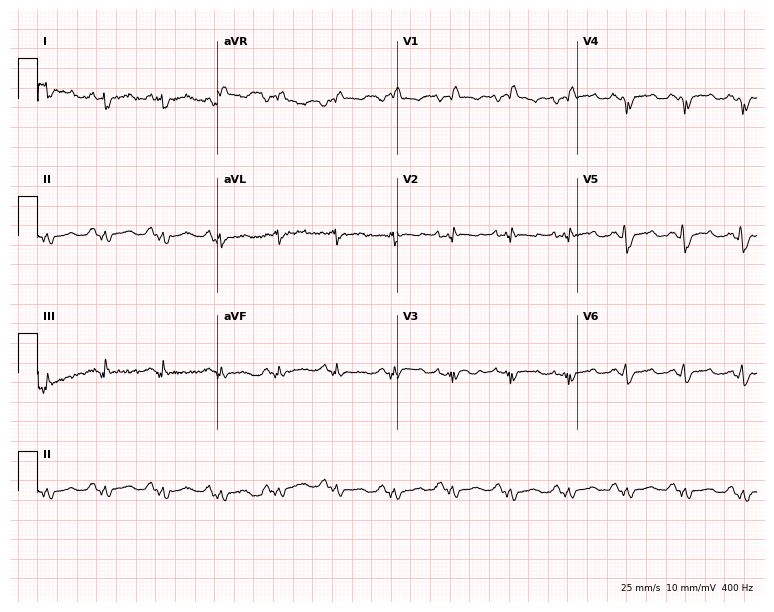
12-lead ECG from a woman, 42 years old. Shows right bundle branch block (RBBB).